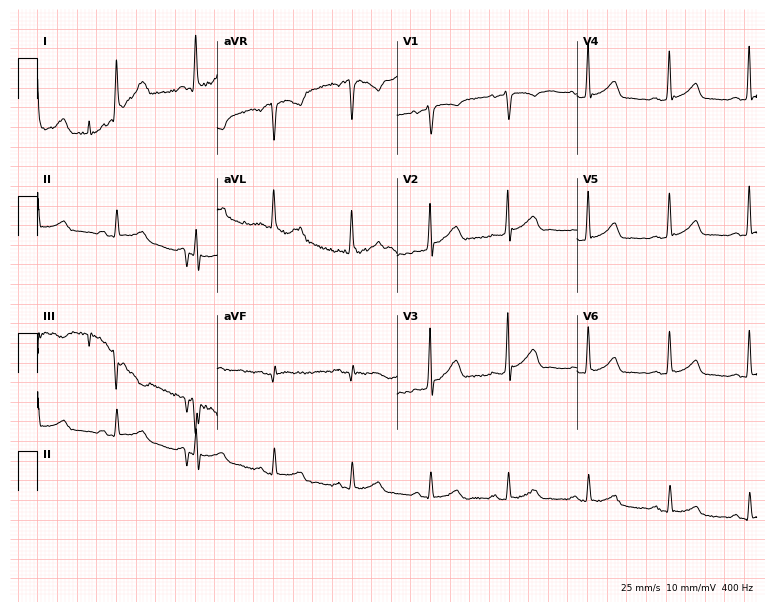
Electrocardiogram (7.3-second recording at 400 Hz), a 32-year-old male. Of the six screened findings (first-degree AV block, right bundle branch block (RBBB), left bundle branch block (LBBB), sinus bradycardia, atrial fibrillation (AF), sinus tachycardia), none is recorded.